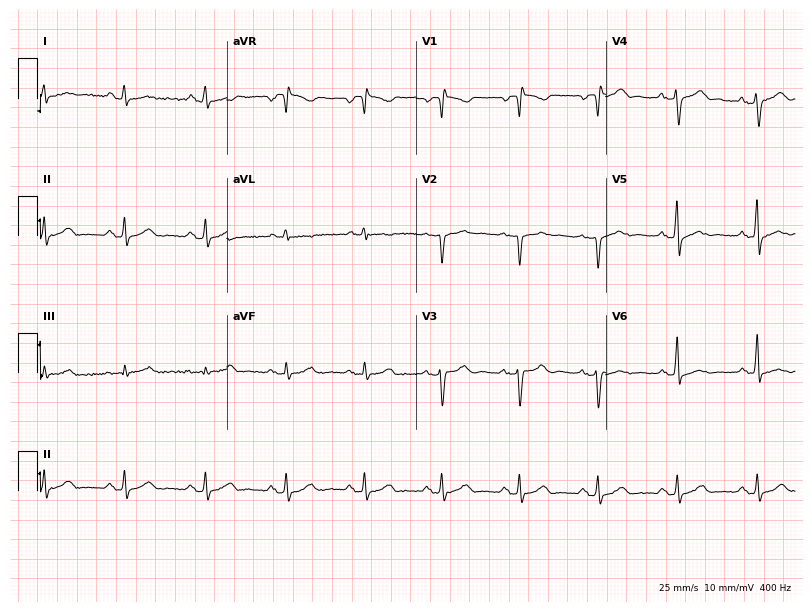
12-lead ECG (7.7-second recording at 400 Hz) from a man, 41 years old. Labelled as a normal ECG.